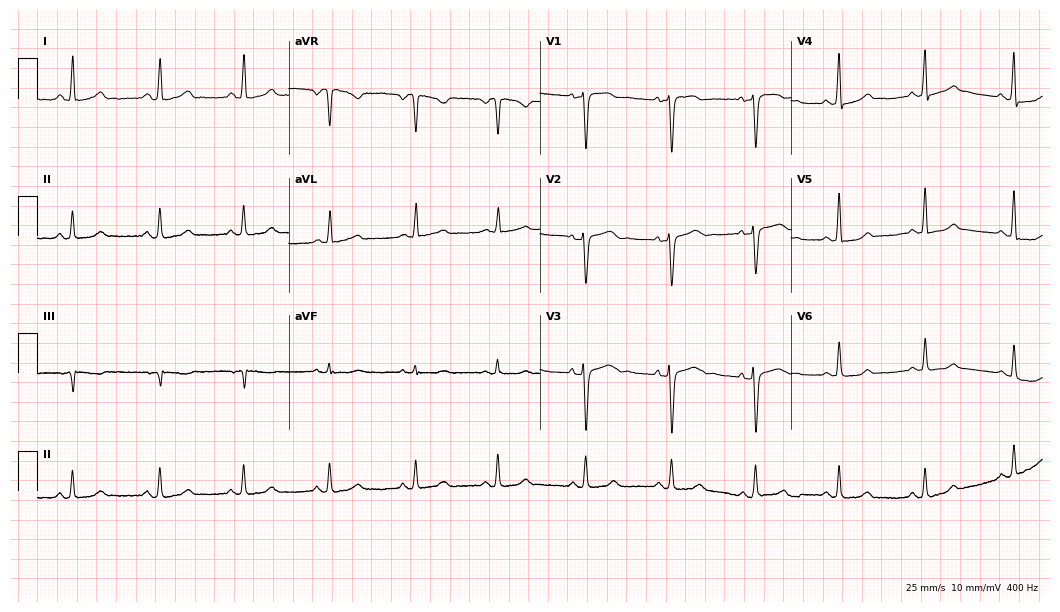
ECG — a female patient, 47 years old. Screened for six findings — first-degree AV block, right bundle branch block, left bundle branch block, sinus bradycardia, atrial fibrillation, sinus tachycardia — none is recorded. Only these six findings were labelled.